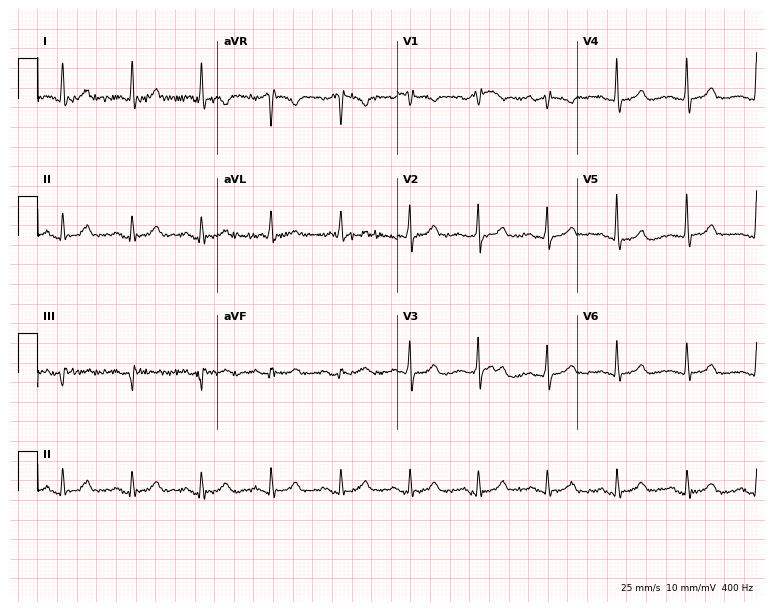
12-lead ECG from a 78-year-old female (7.3-second recording at 400 Hz). Recorded interpretation: within normal limits.